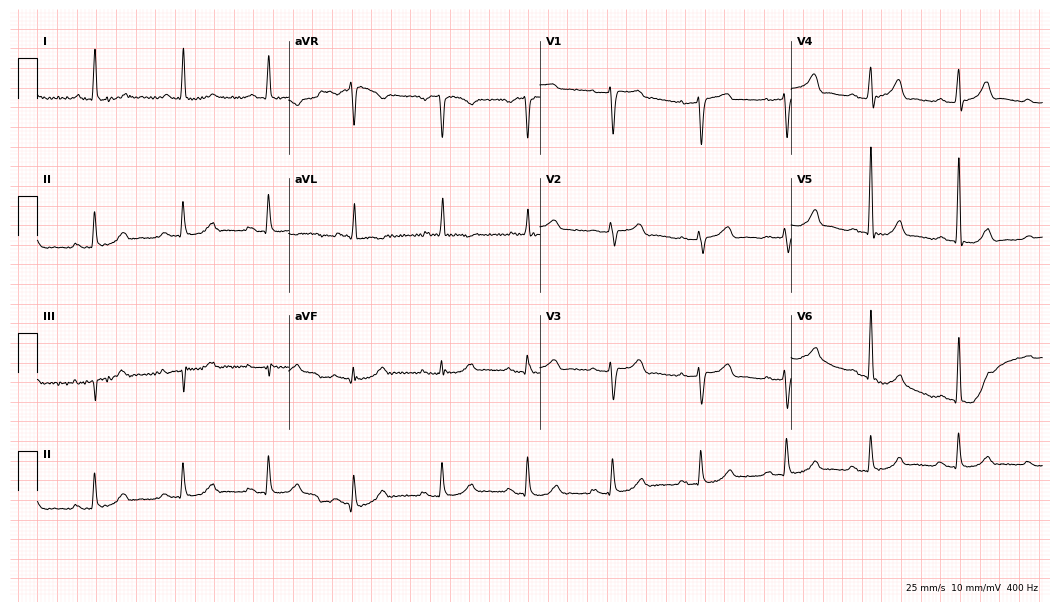
12-lead ECG from a female, 76 years old. Recorded interpretation: within normal limits.